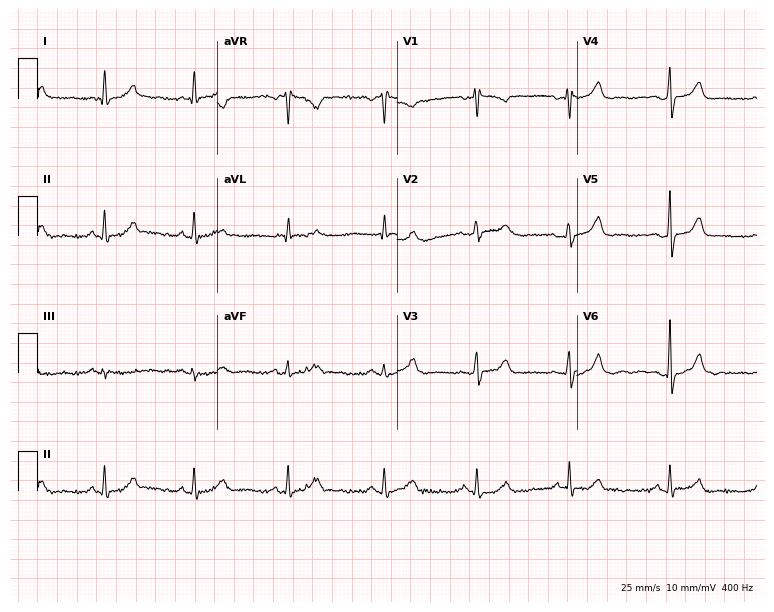
Resting 12-lead electrocardiogram. Patient: a 65-year-old female. None of these six findings is recorded: first-degree AV block, right bundle branch block, left bundle branch block, sinus bradycardia, atrial fibrillation, sinus tachycardia. Findings outside these six are not listed.